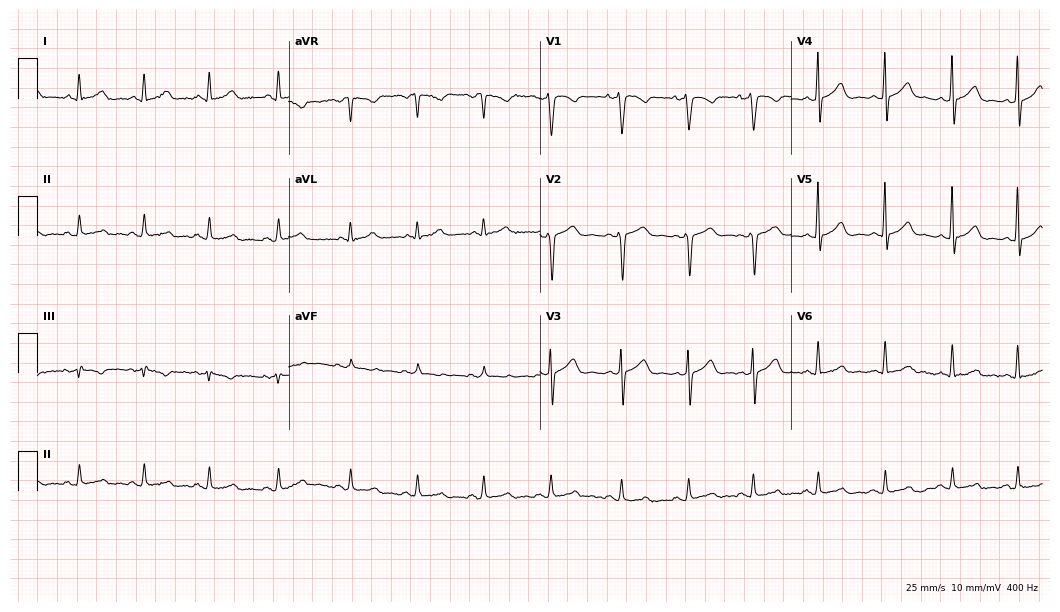
Electrocardiogram, a 26-year-old female. Overall reading on record: normal ECG.